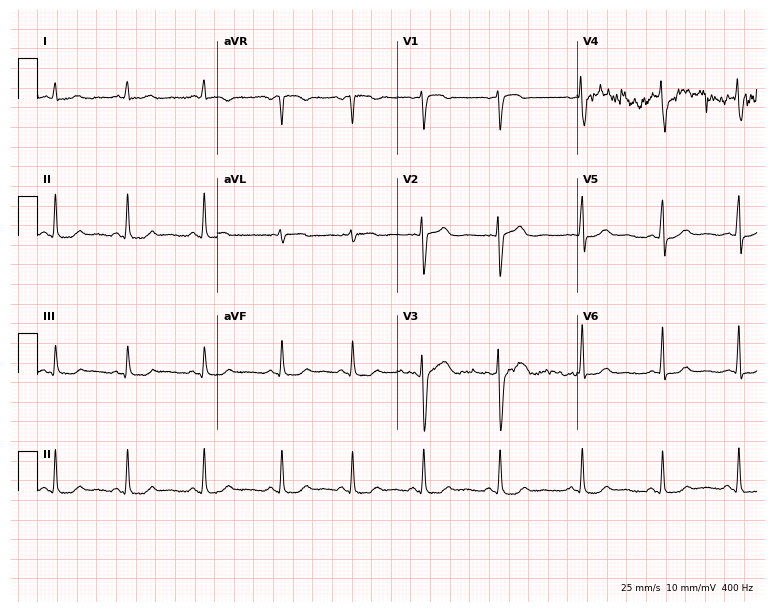
12-lead ECG from a woman, 30 years old (7.3-second recording at 400 Hz). Recorded interpretation: within normal limits.